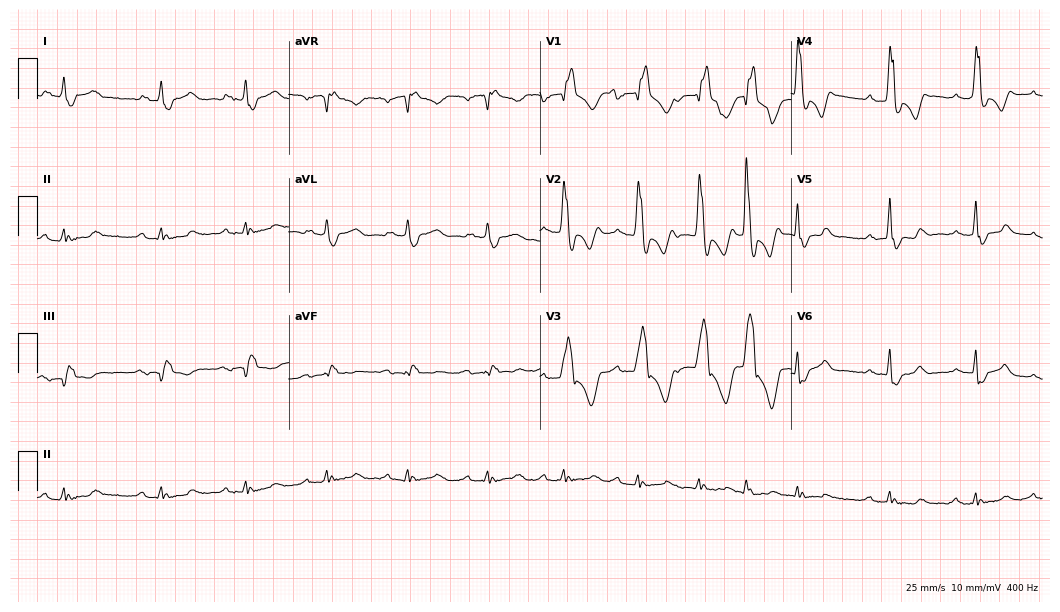
Standard 12-lead ECG recorded from a male, 68 years old. None of these six findings is recorded: first-degree AV block, right bundle branch block, left bundle branch block, sinus bradycardia, atrial fibrillation, sinus tachycardia. Other findings, if any, are not listed.